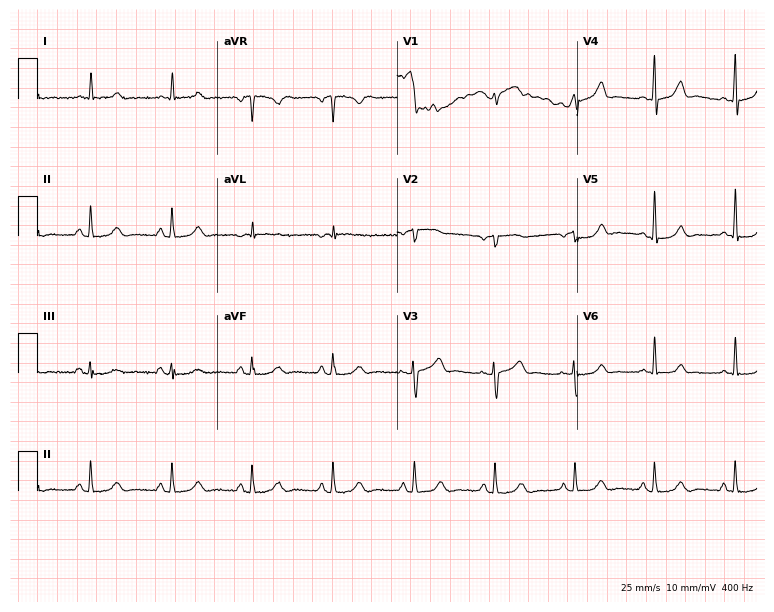
Standard 12-lead ECG recorded from a 60-year-old woman (7.3-second recording at 400 Hz). Read as a normal ECG.